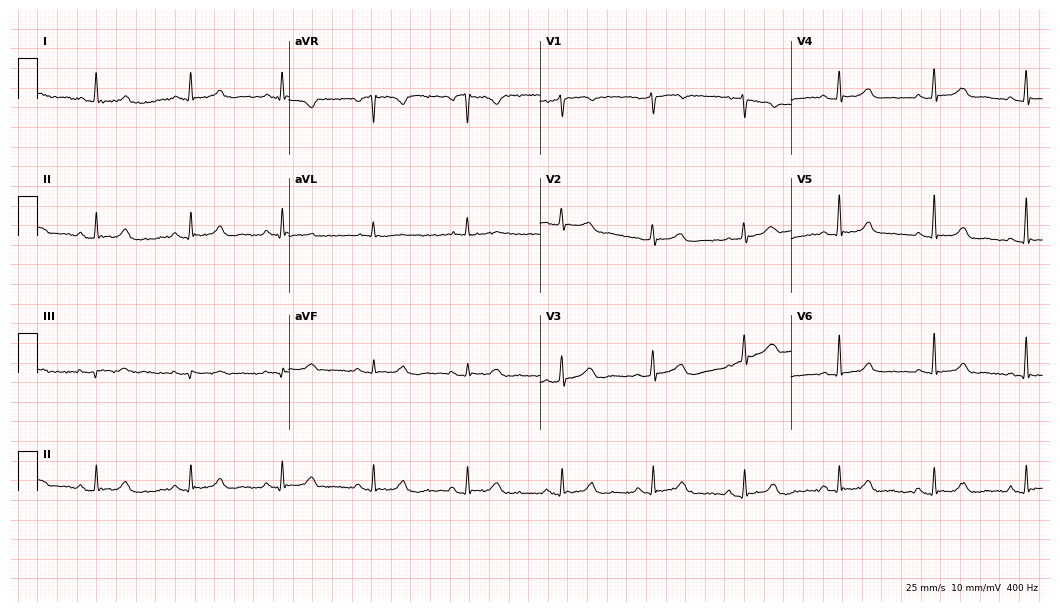
ECG (10.2-second recording at 400 Hz) — a female, 60 years old. Labelled as a normal ECG.